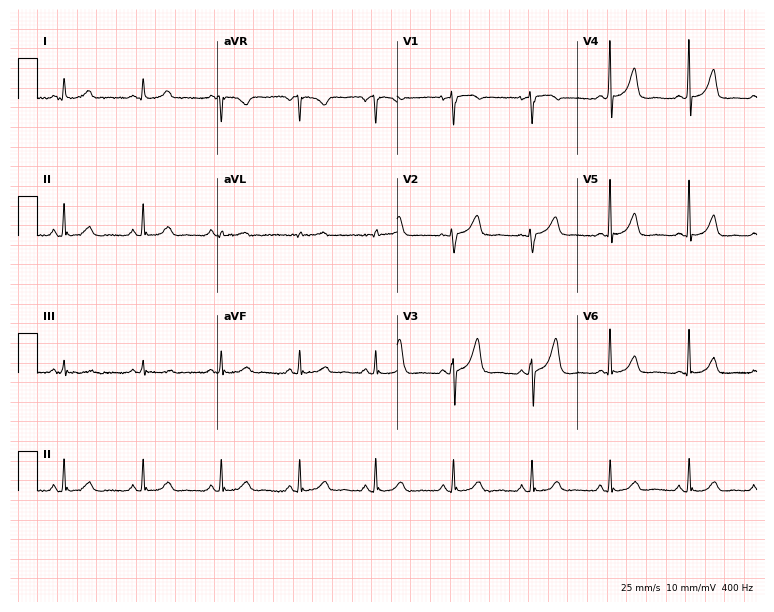
ECG (7.3-second recording at 400 Hz) — a woman, 75 years old. Labelled as a normal ECG.